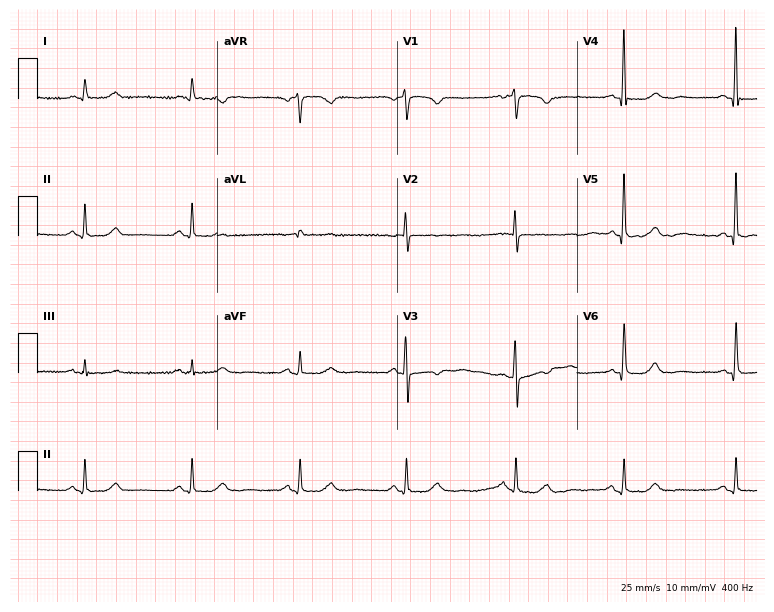
Standard 12-lead ECG recorded from a 77-year-old female patient. Read as a normal ECG.